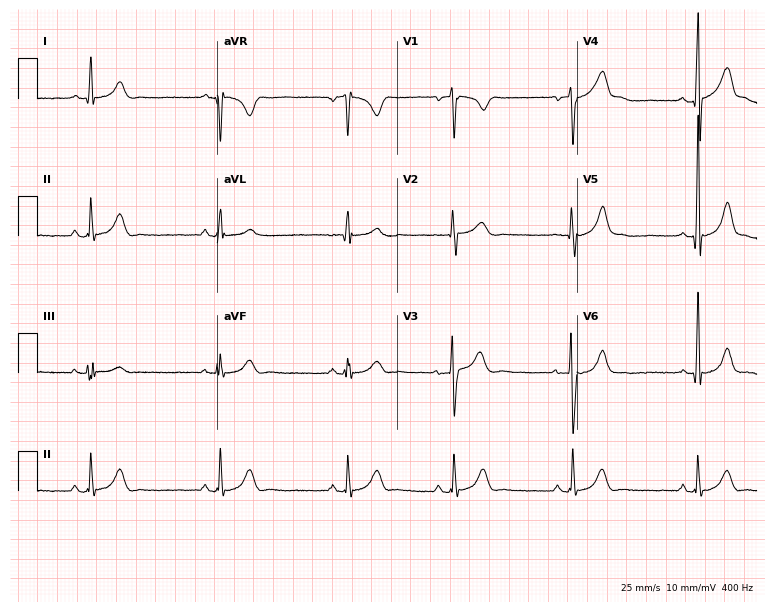
Resting 12-lead electrocardiogram (7.3-second recording at 400 Hz). Patient: a male, 23 years old. Read as a normal ECG.